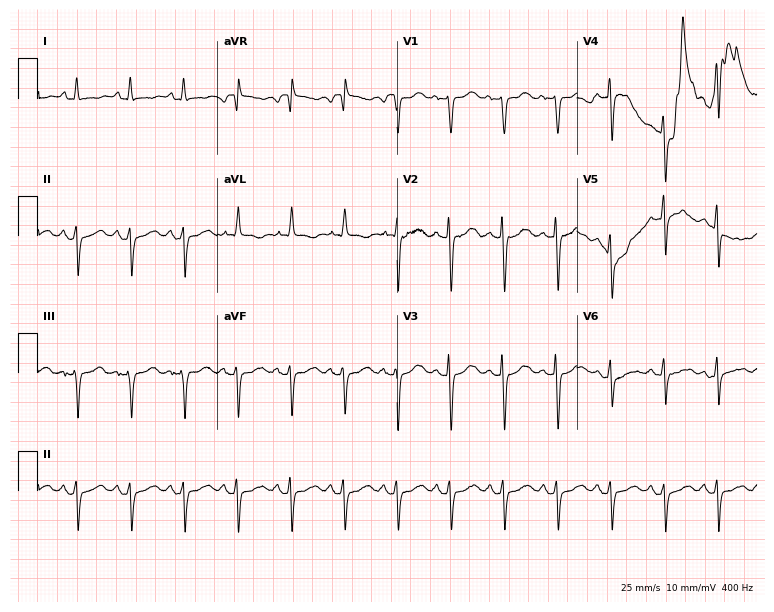
ECG (7.3-second recording at 400 Hz) — a 51-year-old female patient. Findings include sinus tachycardia (a sinus rate of 100 beats per minute or more).